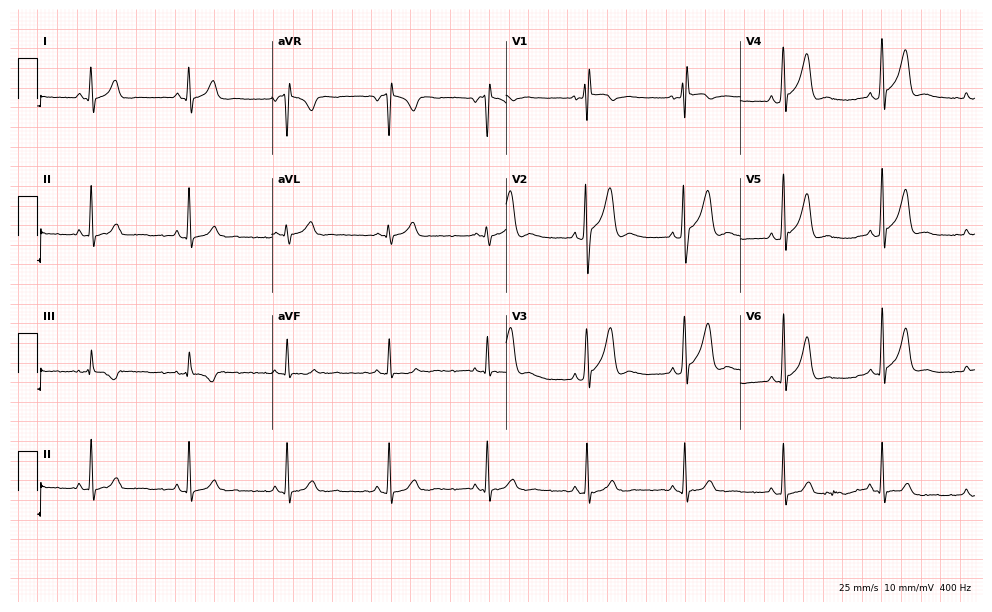
Electrocardiogram (9.6-second recording at 400 Hz), a 22-year-old man. Overall reading on record: normal ECG.